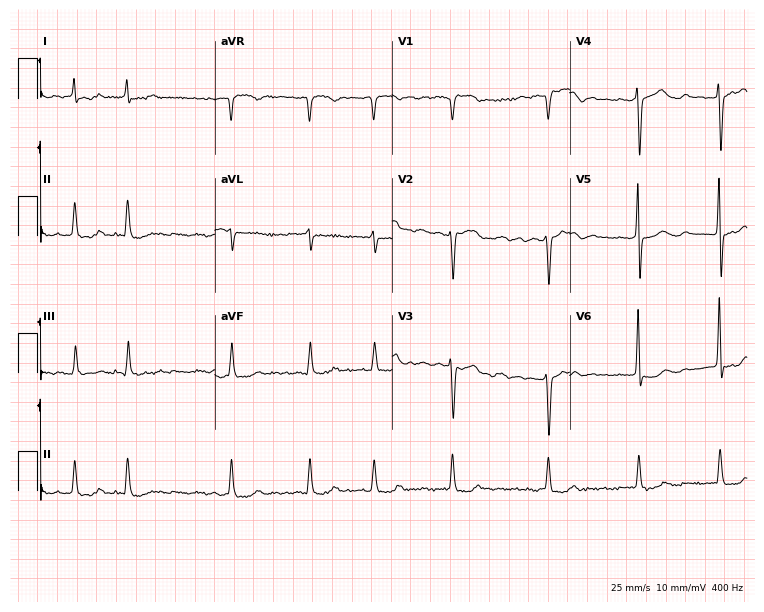
ECG — a 78-year-old female. Findings include atrial fibrillation.